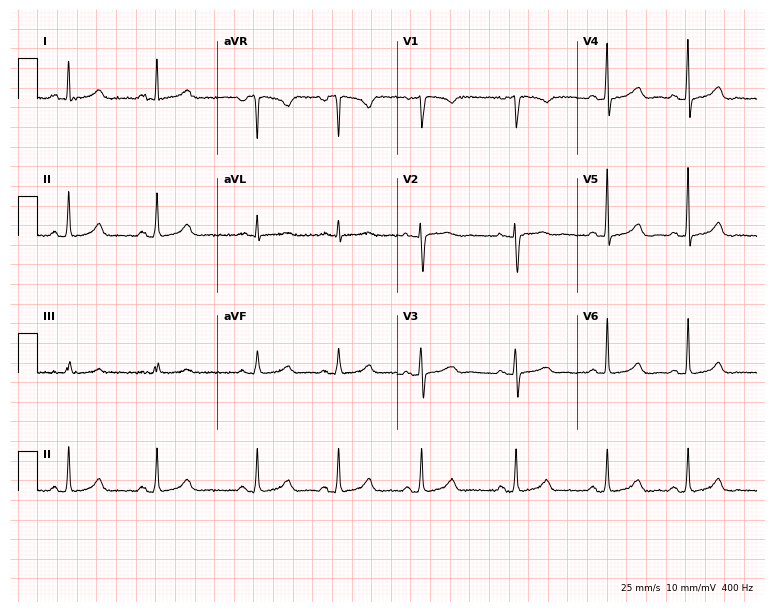
Resting 12-lead electrocardiogram (7.3-second recording at 400 Hz). Patient: a 47-year-old woman. Read as a normal ECG.